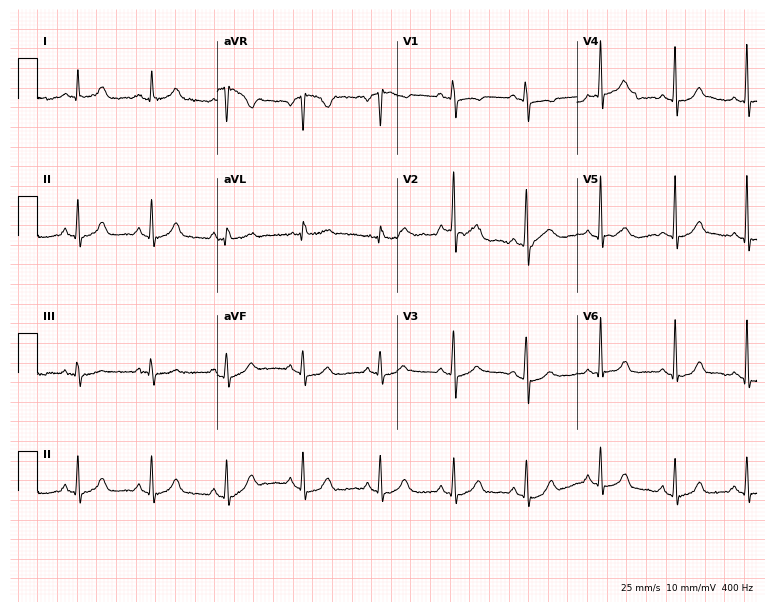
Resting 12-lead electrocardiogram. Patient: a woman, 39 years old. Read as a normal ECG.